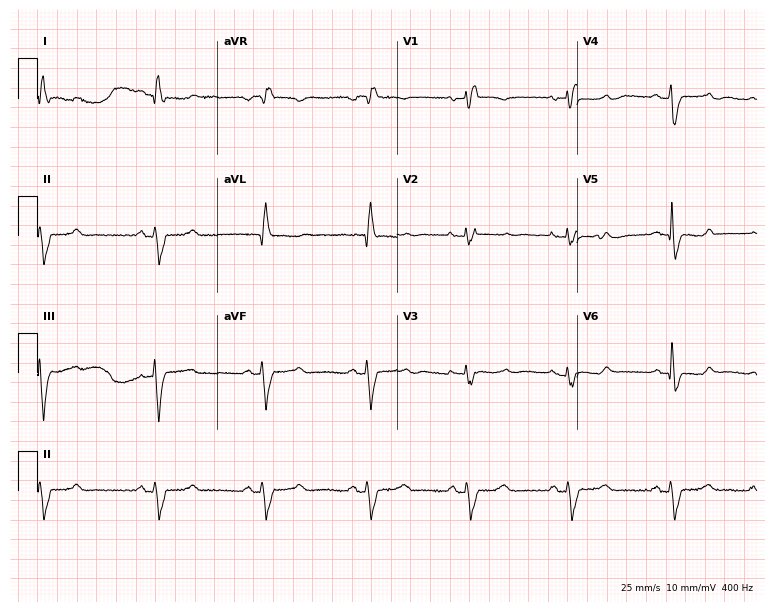
12-lead ECG from a 68-year-old female. Shows right bundle branch block.